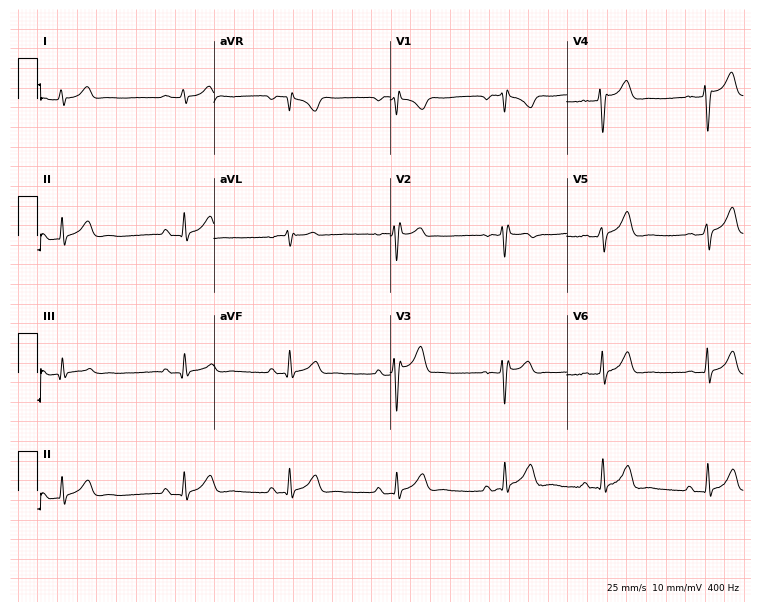
Electrocardiogram (7.2-second recording at 400 Hz), a 27-year-old male patient. Of the six screened findings (first-degree AV block, right bundle branch block, left bundle branch block, sinus bradycardia, atrial fibrillation, sinus tachycardia), none is recorded. Other findings, if any, are not listed.